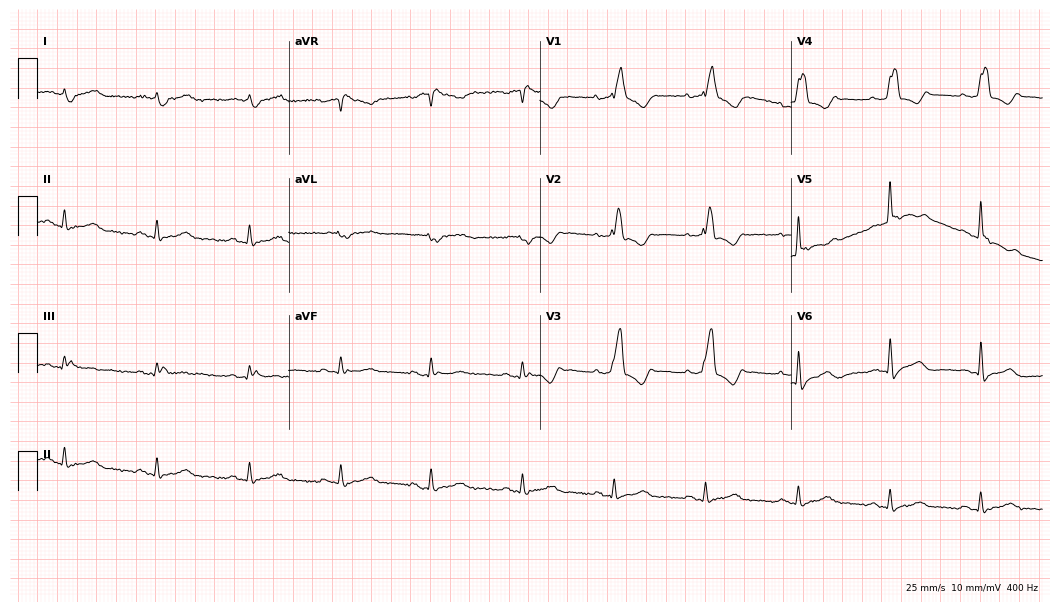
Resting 12-lead electrocardiogram. Patient: a 74-year-old female. The tracing shows right bundle branch block.